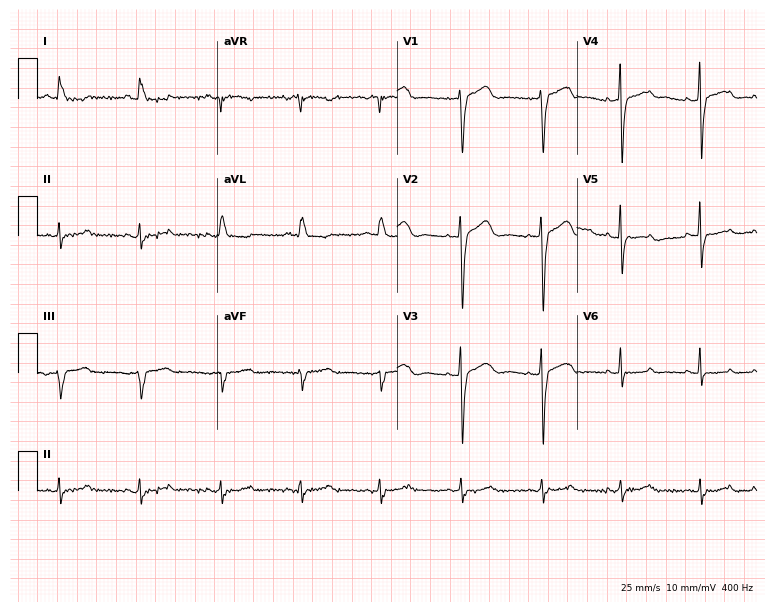
12-lead ECG (7.3-second recording at 400 Hz) from an 85-year-old female. Screened for six findings — first-degree AV block, right bundle branch block, left bundle branch block, sinus bradycardia, atrial fibrillation, sinus tachycardia — none is recorded. Other findings, if any, are not listed.